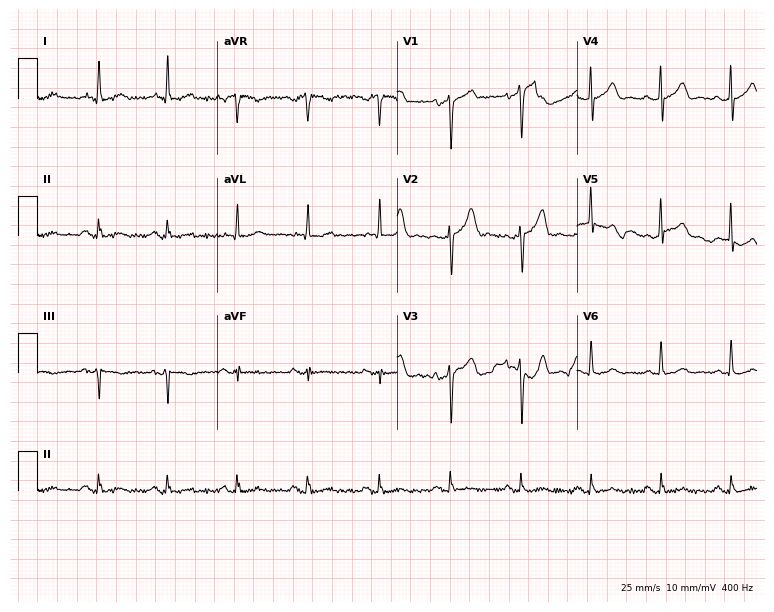
Resting 12-lead electrocardiogram. Patient: a male, 47 years old. Read as a normal ECG.